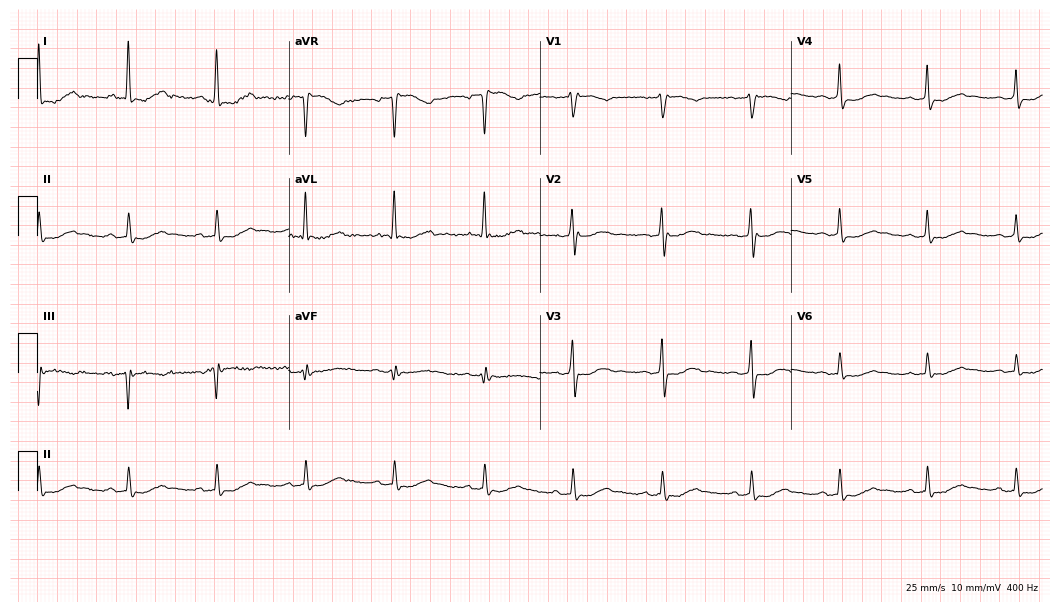
Electrocardiogram (10.2-second recording at 400 Hz), a 68-year-old female patient. Of the six screened findings (first-degree AV block, right bundle branch block, left bundle branch block, sinus bradycardia, atrial fibrillation, sinus tachycardia), none is recorded. Other findings, if any, are not listed.